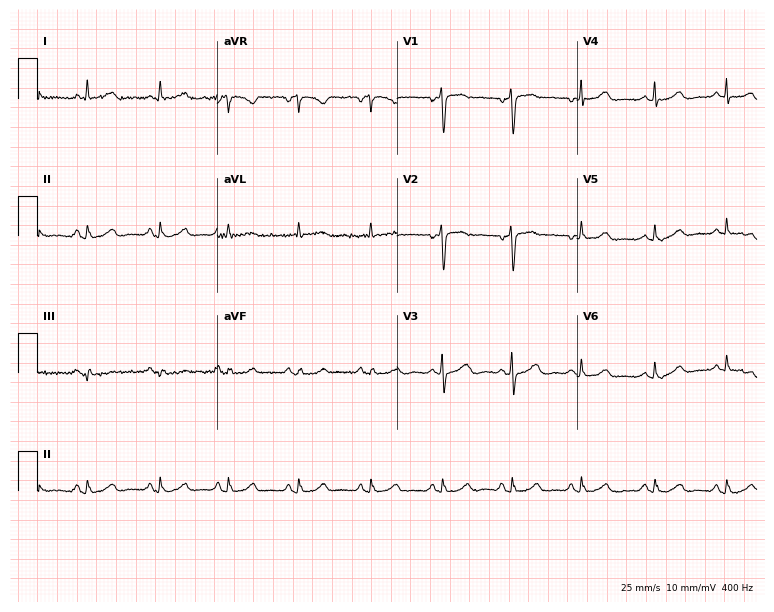
12-lead ECG from a female, 43 years old. Labelled as a normal ECG.